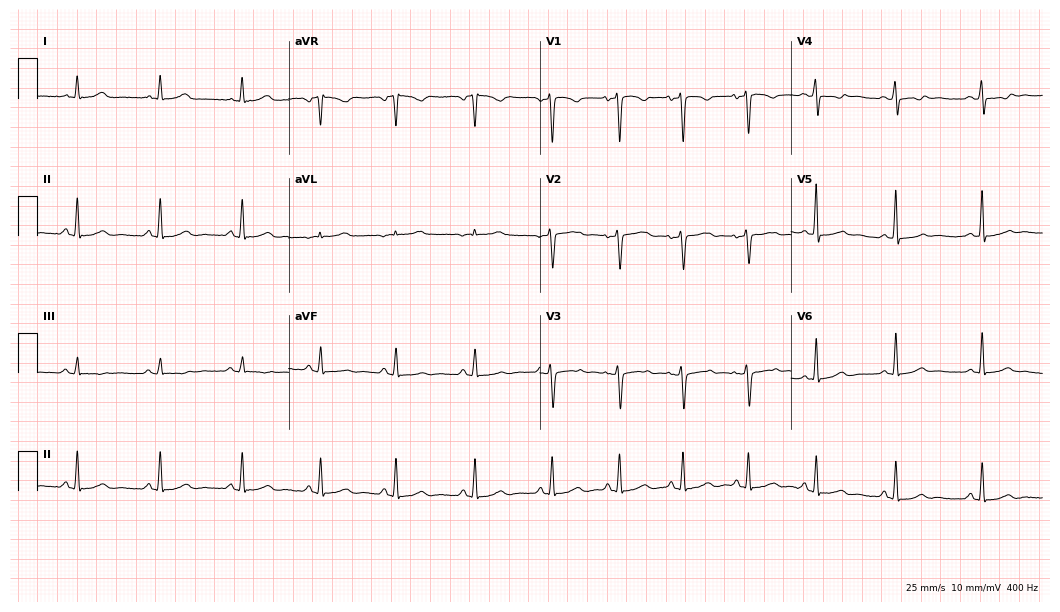
12-lead ECG (10.2-second recording at 400 Hz) from a female patient, 41 years old. Labelled as a normal ECG.